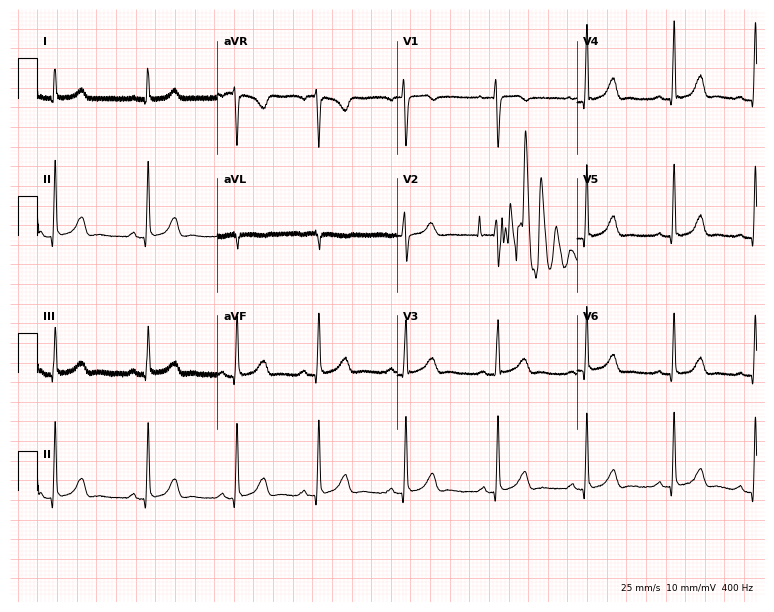
Resting 12-lead electrocardiogram (7.3-second recording at 400 Hz). Patient: a female, 21 years old. None of these six findings is recorded: first-degree AV block, right bundle branch block (RBBB), left bundle branch block (LBBB), sinus bradycardia, atrial fibrillation (AF), sinus tachycardia. Findings outside these six are not listed.